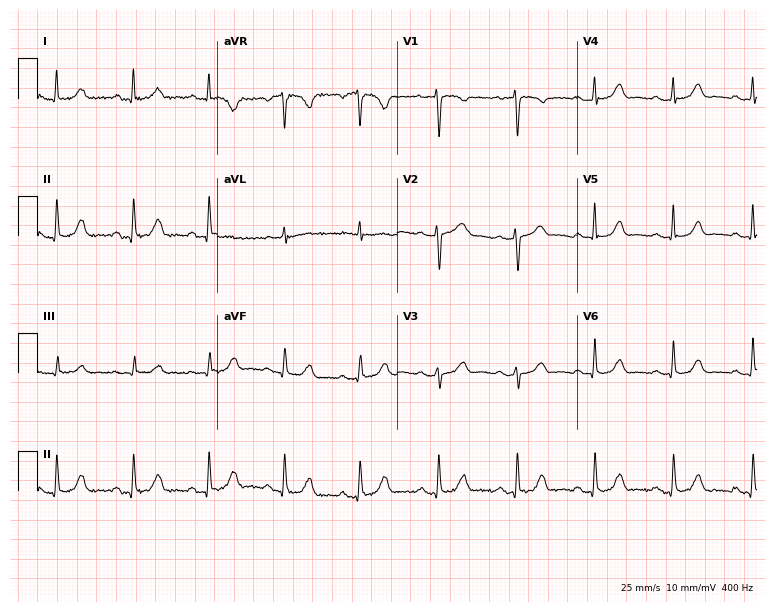
ECG (7.3-second recording at 400 Hz) — a 52-year-old woman. Screened for six findings — first-degree AV block, right bundle branch block (RBBB), left bundle branch block (LBBB), sinus bradycardia, atrial fibrillation (AF), sinus tachycardia — none is recorded.